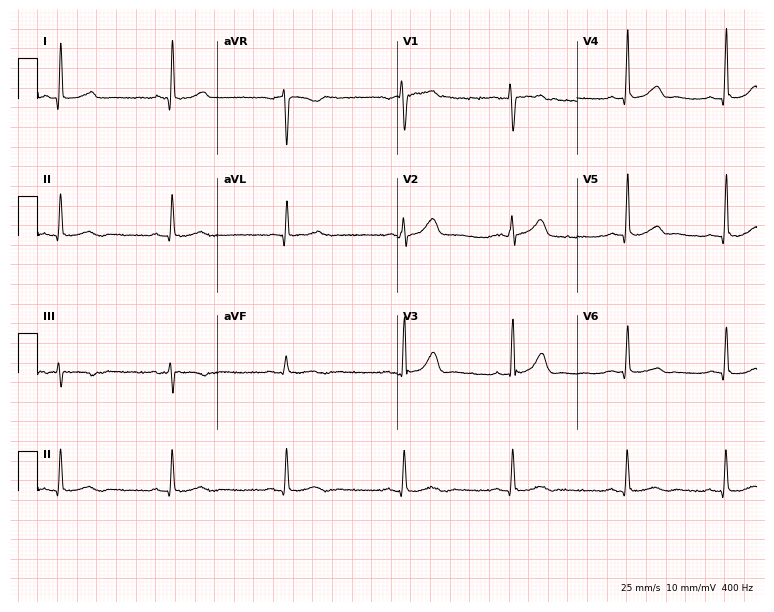
Electrocardiogram, a female, 39 years old. Of the six screened findings (first-degree AV block, right bundle branch block, left bundle branch block, sinus bradycardia, atrial fibrillation, sinus tachycardia), none is recorded.